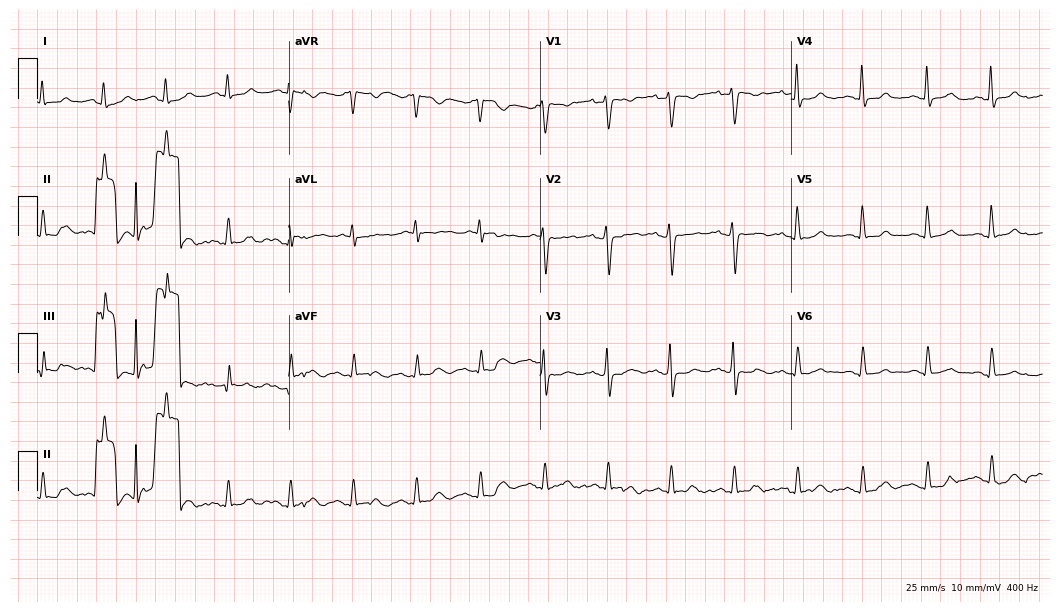
Resting 12-lead electrocardiogram. Patient: a 43-year-old woman. Read as a normal ECG.